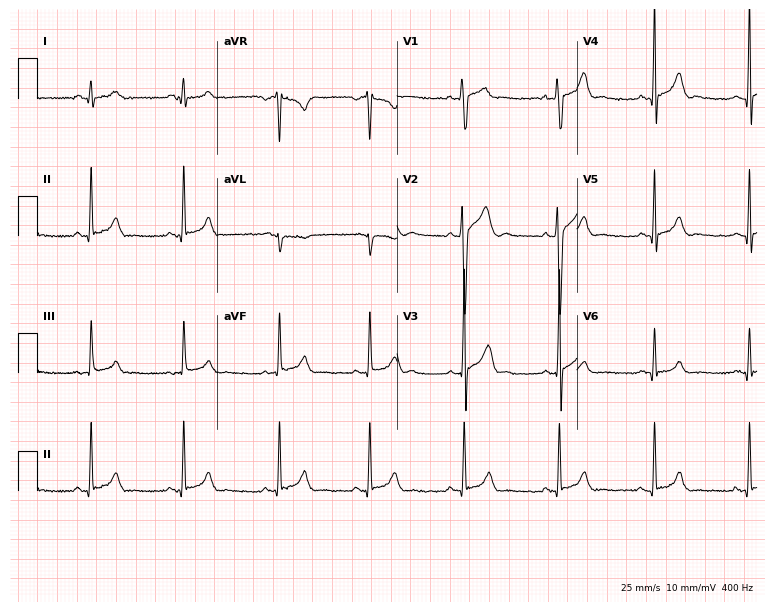
Resting 12-lead electrocardiogram (7.3-second recording at 400 Hz). Patient: a 23-year-old male. None of these six findings is recorded: first-degree AV block, right bundle branch block, left bundle branch block, sinus bradycardia, atrial fibrillation, sinus tachycardia. Other findings, if any, are not listed.